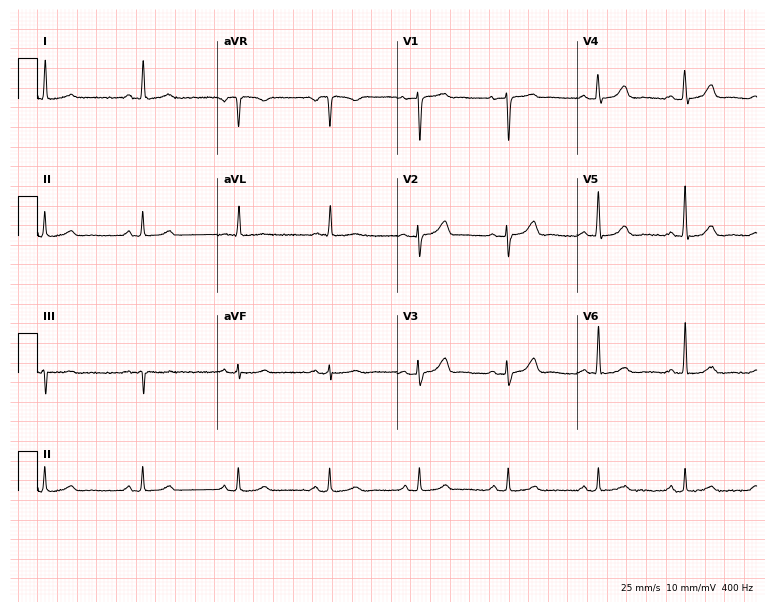
Standard 12-lead ECG recorded from a 75-year-old female (7.3-second recording at 400 Hz). None of these six findings is recorded: first-degree AV block, right bundle branch block (RBBB), left bundle branch block (LBBB), sinus bradycardia, atrial fibrillation (AF), sinus tachycardia.